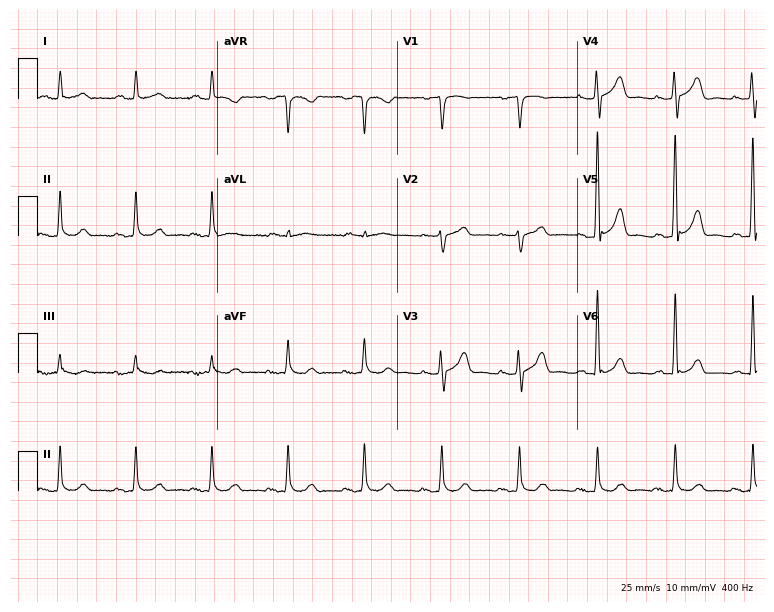
12-lead ECG (7.3-second recording at 400 Hz) from a man, 77 years old. Screened for six findings — first-degree AV block, right bundle branch block, left bundle branch block, sinus bradycardia, atrial fibrillation, sinus tachycardia — none is recorded. Other findings, if any, are not listed.